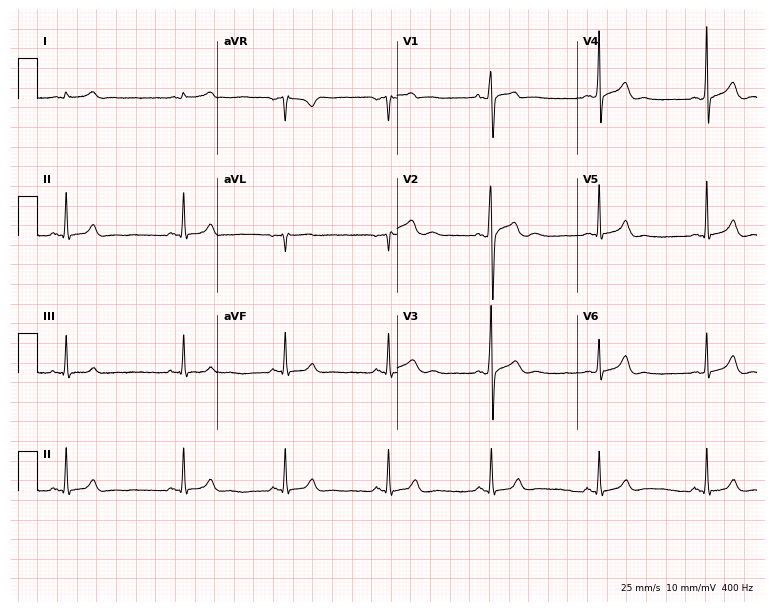
Standard 12-lead ECG recorded from a 27-year-old man (7.3-second recording at 400 Hz). Read as a normal ECG.